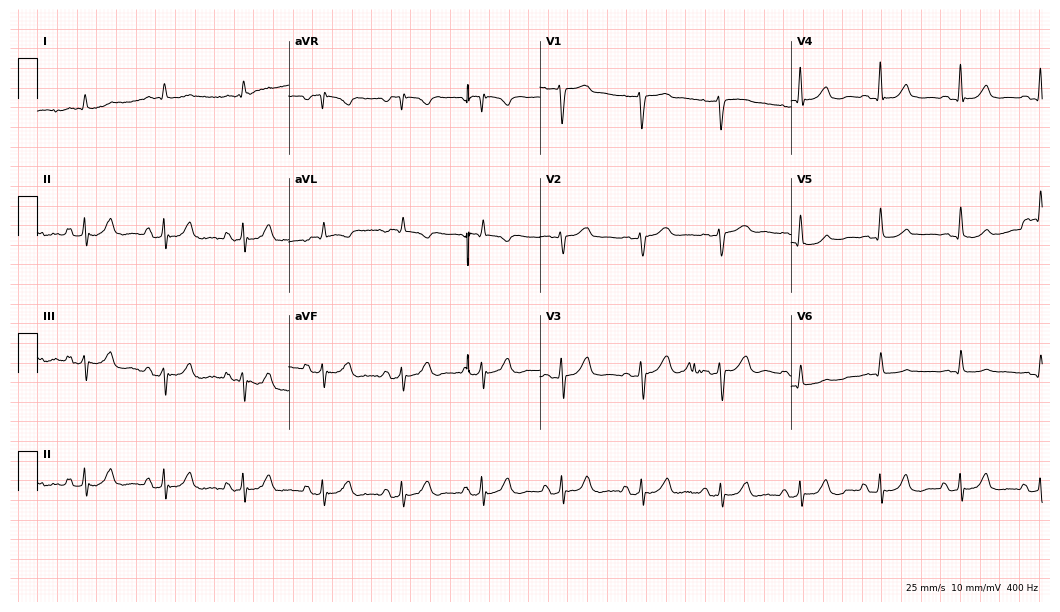
ECG (10.2-second recording at 400 Hz) — a man, 77 years old. Screened for six findings — first-degree AV block, right bundle branch block (RBBB), left bundle branch block (LBBB), sinus bradycardia, atrial fibrillation (AF), sinus tachycardia — none is recorded.